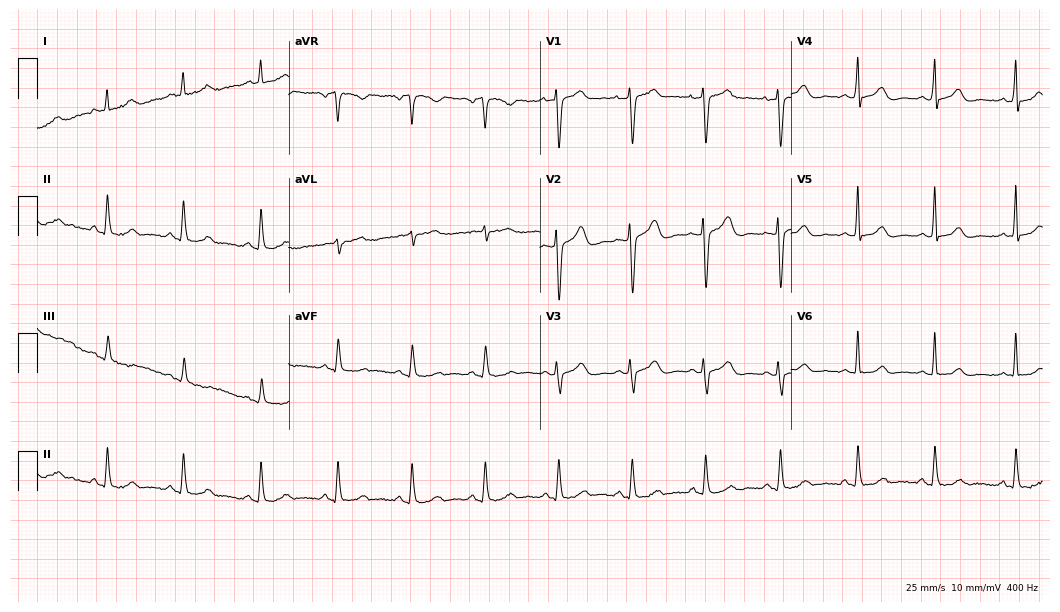
12-lead ECG from a 47-year-old female patient. Recorded interpretation: within normal limits.